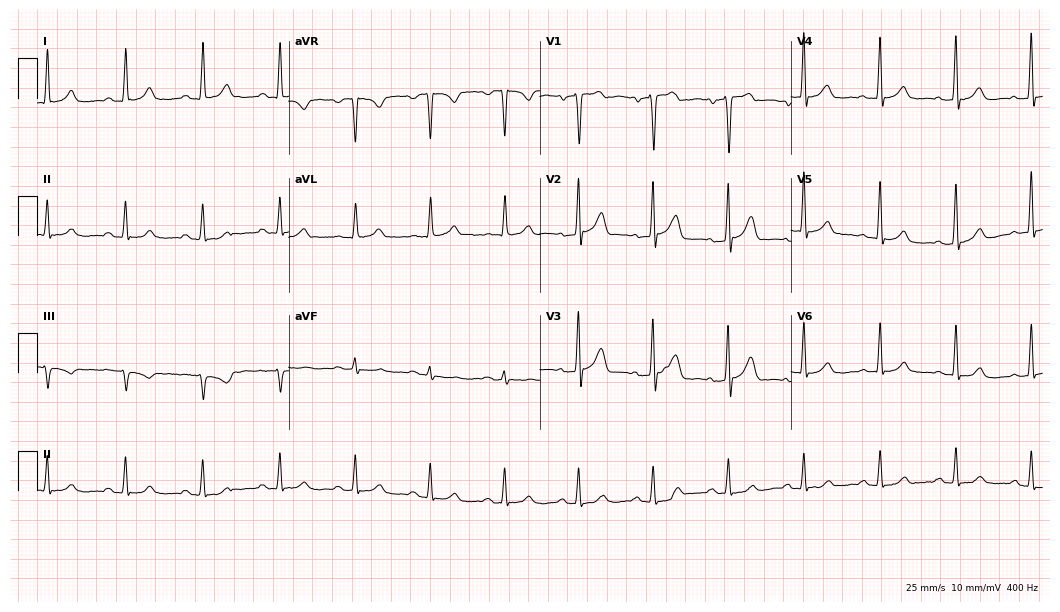
Resting 12-lead electrocardiogram. Patient: a 39-year-old male. Read as a normal ECG.